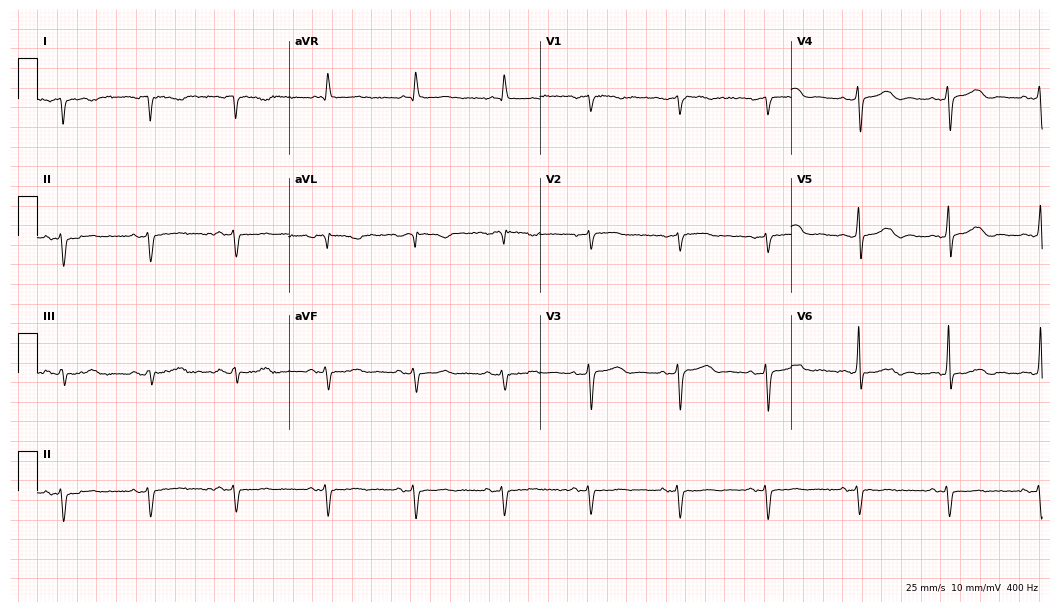
Standard 12-lead ECG recorded from a 73-year-old female (10.2-second recording at 400 Hz). None of these six findings is recorded: first-degree AV block, right bundle branch block, left bundle branch block, sinus bradycardia, atrial fibrillation, sinus tachycardia.